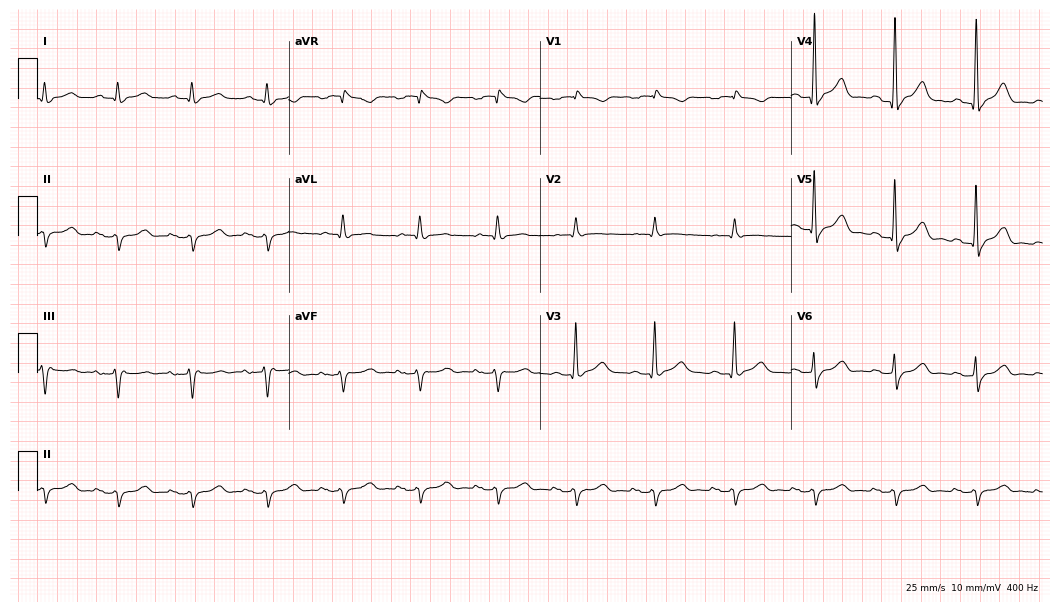
Resting 12-lead electrocardiogram. Patient: a male, 80 years old. None of these six findings is recorded: first-degree AV block, right bundle branch block, left bundle branch block, sinus bradycardia, atrial fibrillation, sinus tachycardia. Findings outside these six are not listed.